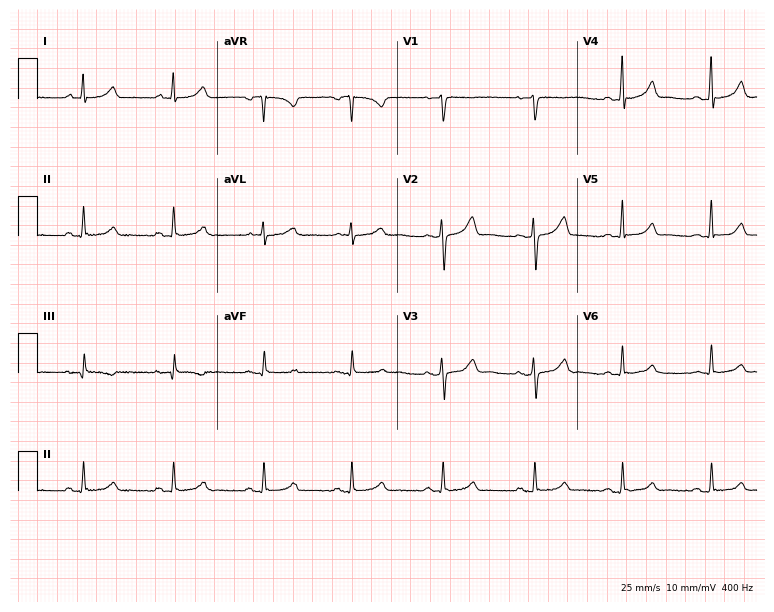
12-lead ECG from a female, 43 years old. Recorded interpretation: within normal limits.